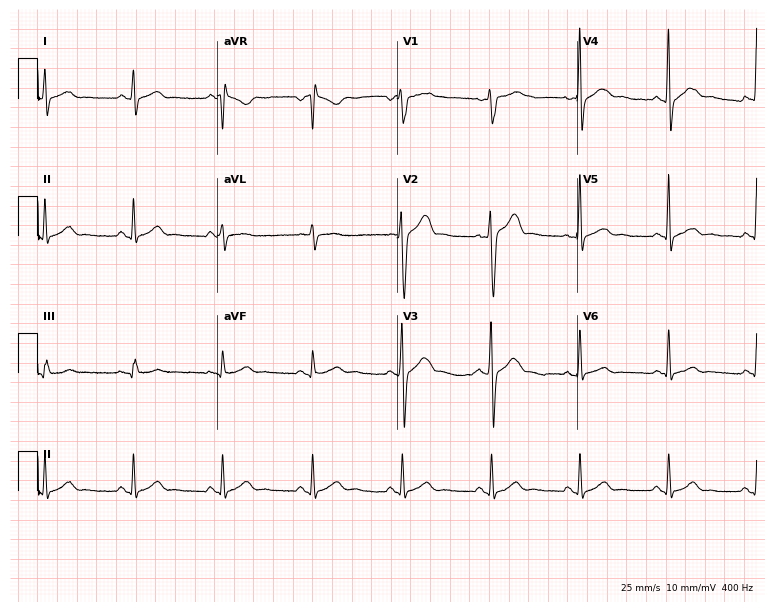
12-lead ECG from a man, 20 years old (7.3-second recording at 400 Hz). Recorded interpretation: within normal limits.